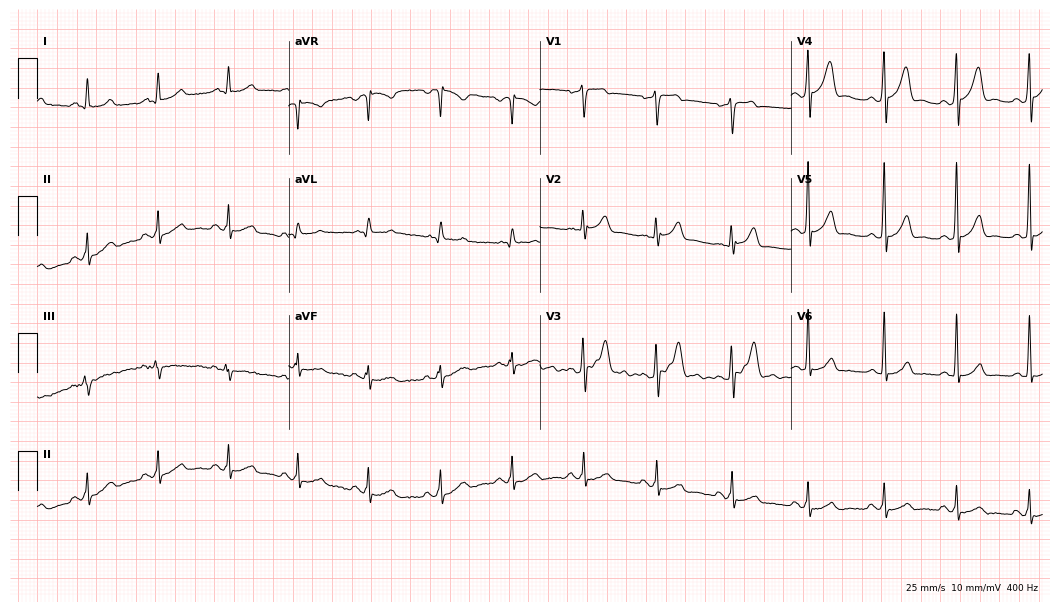
ECG (10.2-second recording at 400 Hz) — a male patient, 51 years old. Labelled as a normal ECG.